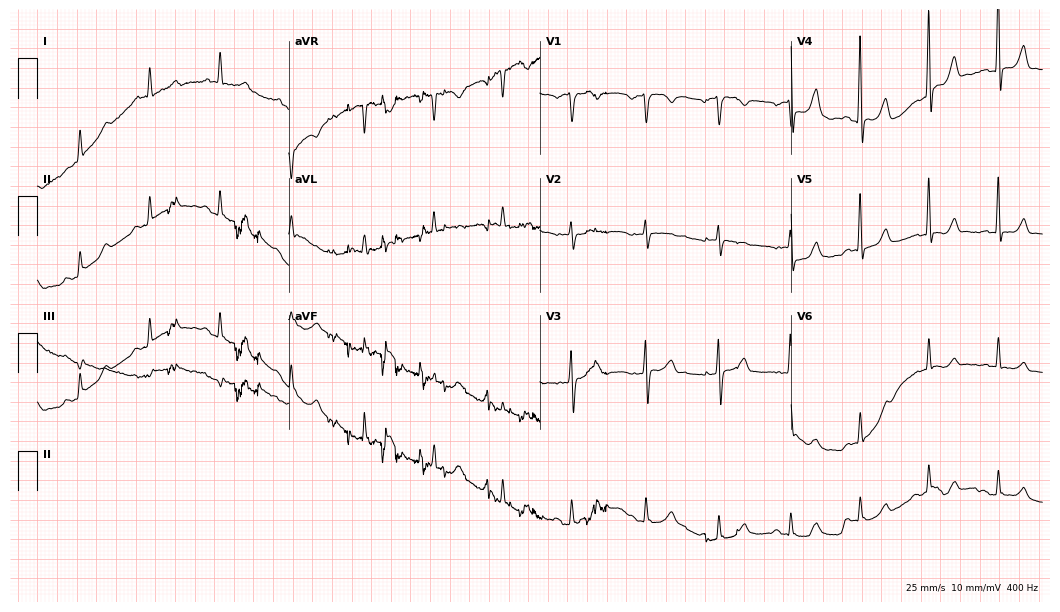
Resting 12-lead electrocardiogram (10.2-second recording at 400 Hz). Patient: a woman, 73 years old. None of these six findings is recorded: first-degree AV block, right bundle branch block (RBBB), left bundle branch block (LBBB), sinus bradycardia, atrial fibrillation (AF), sinus tachycardia. Findings outside these six are not listed.